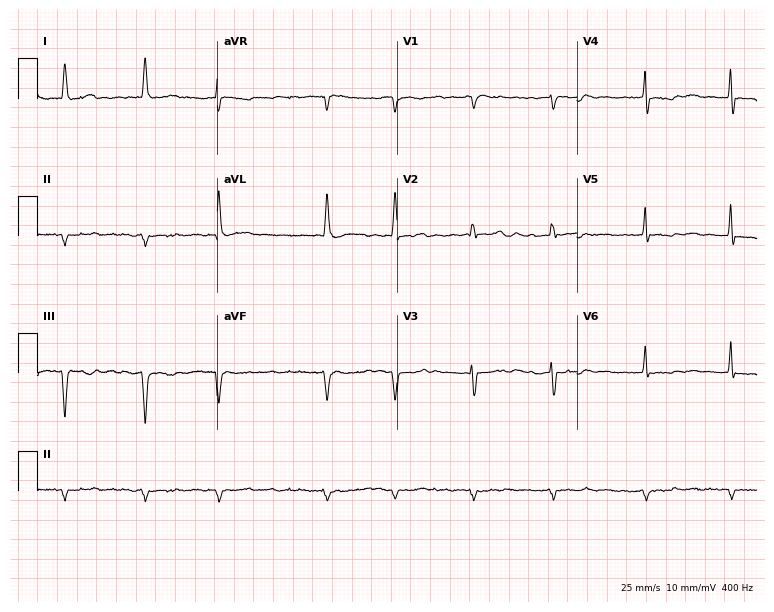
Resting 12-lead electrocardiogram (7.3-second recording at 400 Hz). Patient: a 71-year-old male. The tracing shows atrial fibrillation.